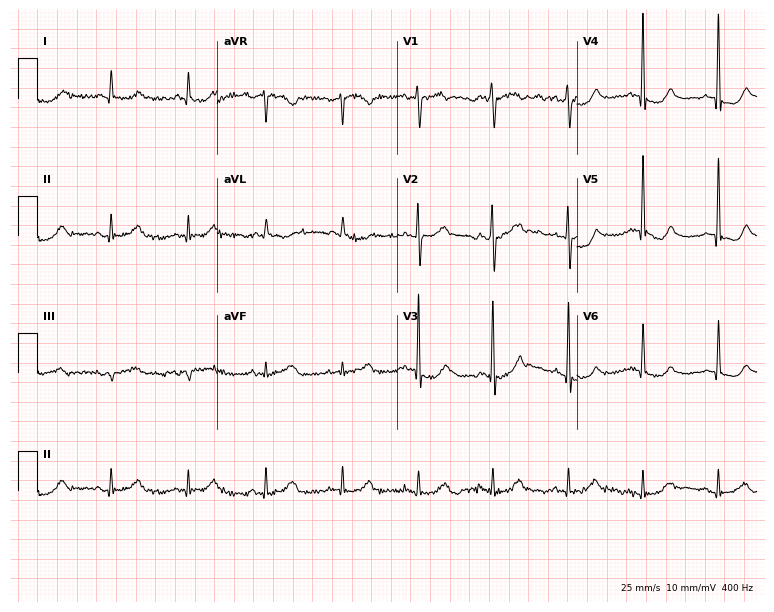
12-lead ECG from a male, 67 years old. Labelled as a normal ECG.